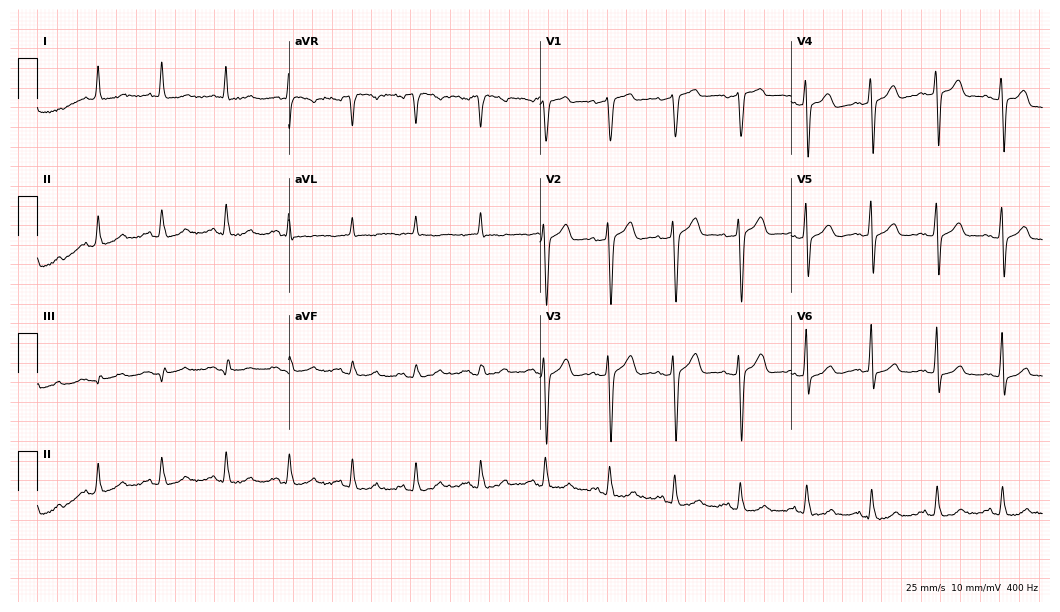
12-lead ECG (10.2-second recording at 400 Hz) from a male, 68 years old. Labelled as a normal ECG.